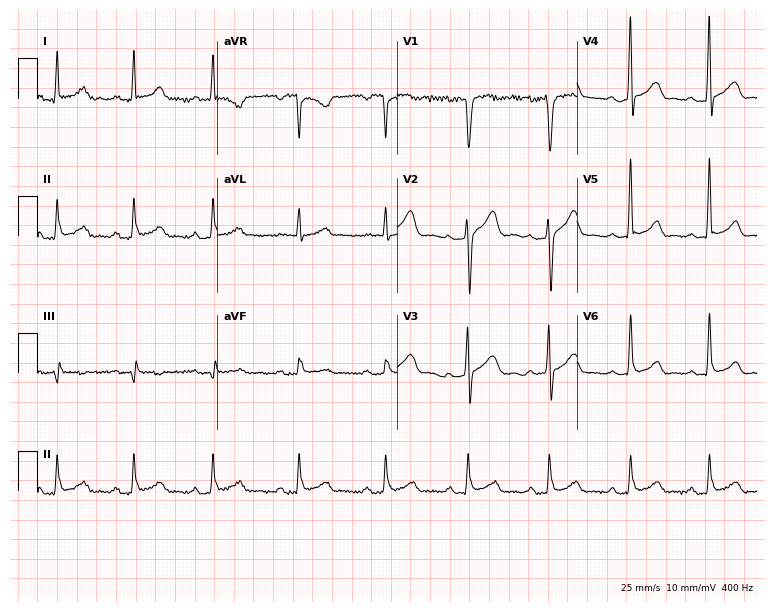
Electrocardiogram, a 33-year-old man. Overall reading on record: normal ECG.